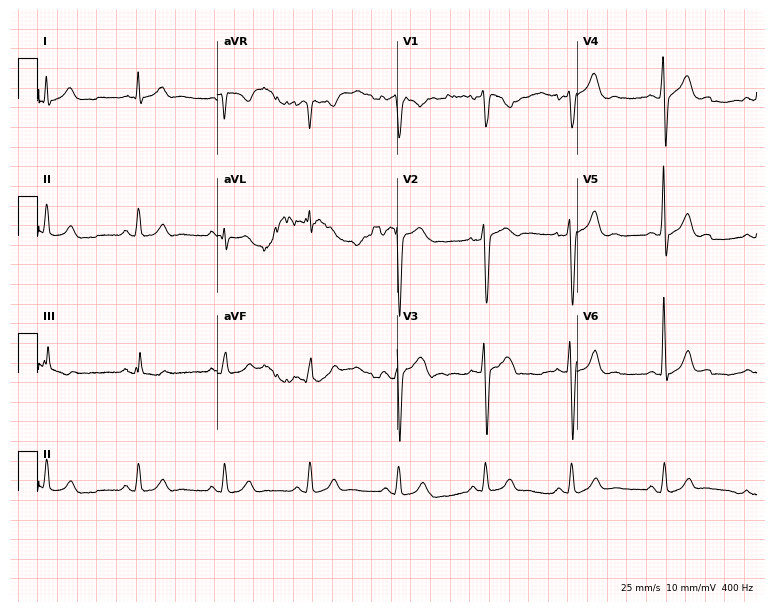
ECG (7.3-second recording at 400 Hz) — a 53-year-old man. Labelled as a normal ECG.